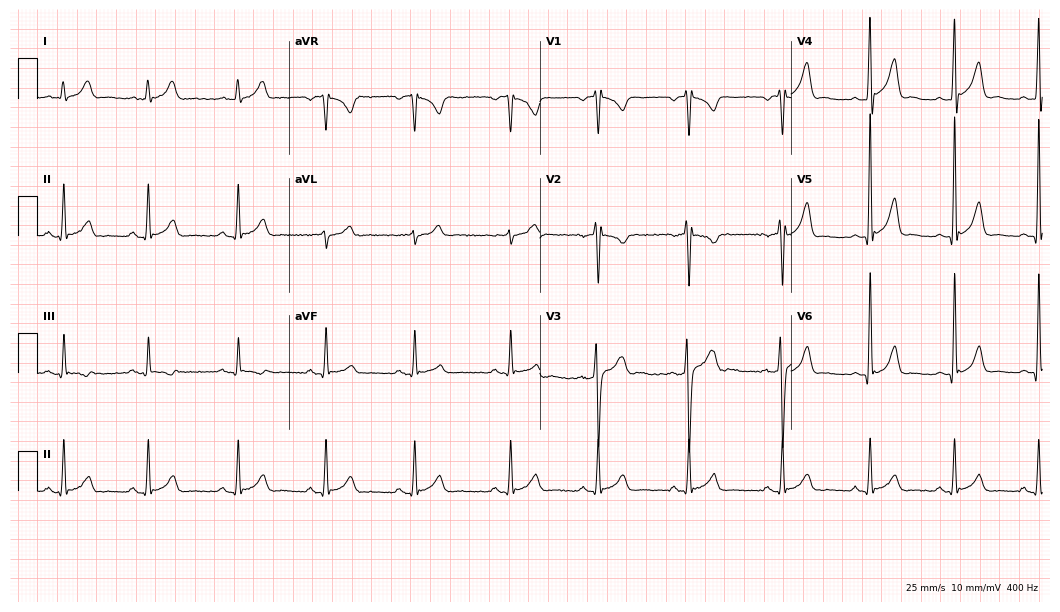
Resting 12-lead electrocardiogram. Patient: a male, 36 years old. Read as a normal ECG.